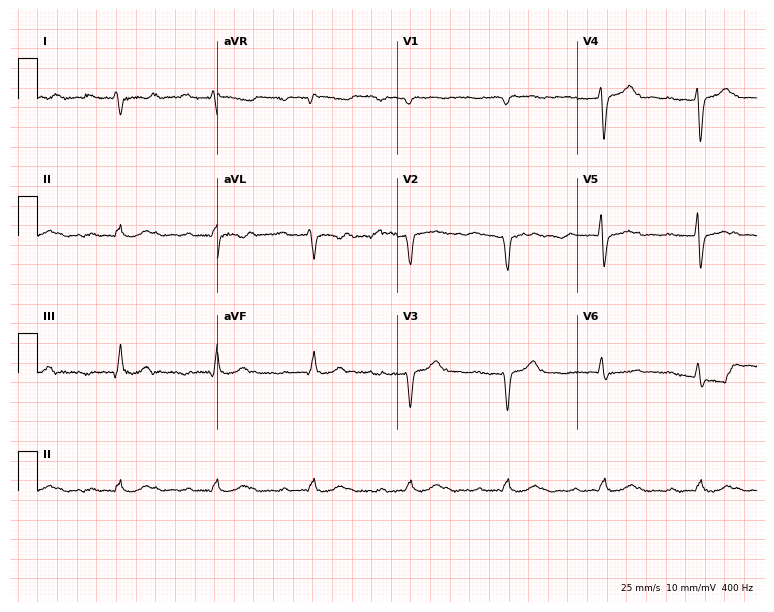
12-lead ECG from a 58-year-old woman. Findings include first-degree AV block, left bundle branch block.